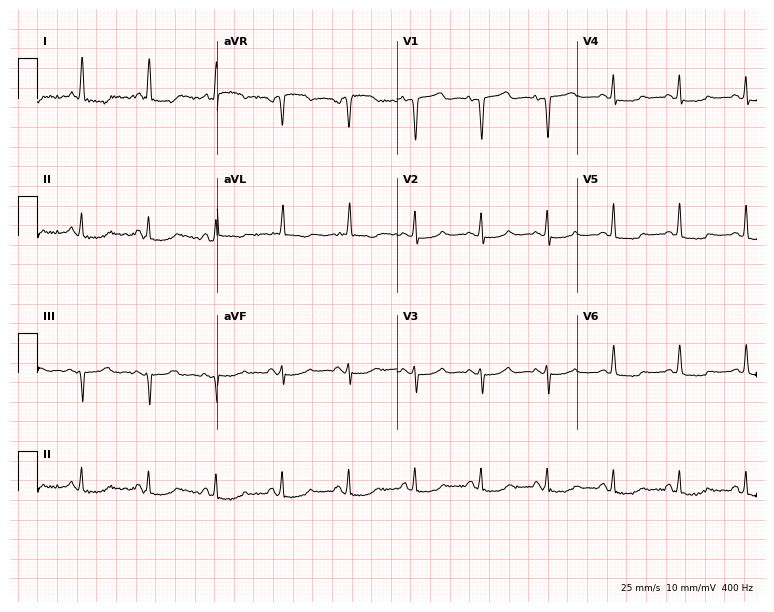
Electrocardiogram (7.3-second recording at 400 Hz), a 61-year-old female. Of the six screened findings (first-degree AV block, right bundle branch block, left bundle branch block, sinus bradycardia, atrial fibrillation, sinus tachycardia), none is recorded.